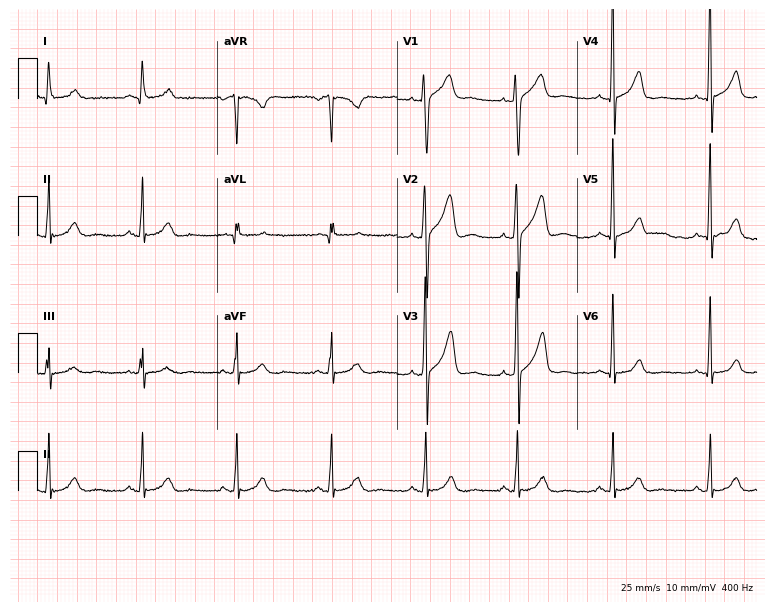
12-lead ECG from a 44-year-old male. Recorded interpretation: within normal limits.